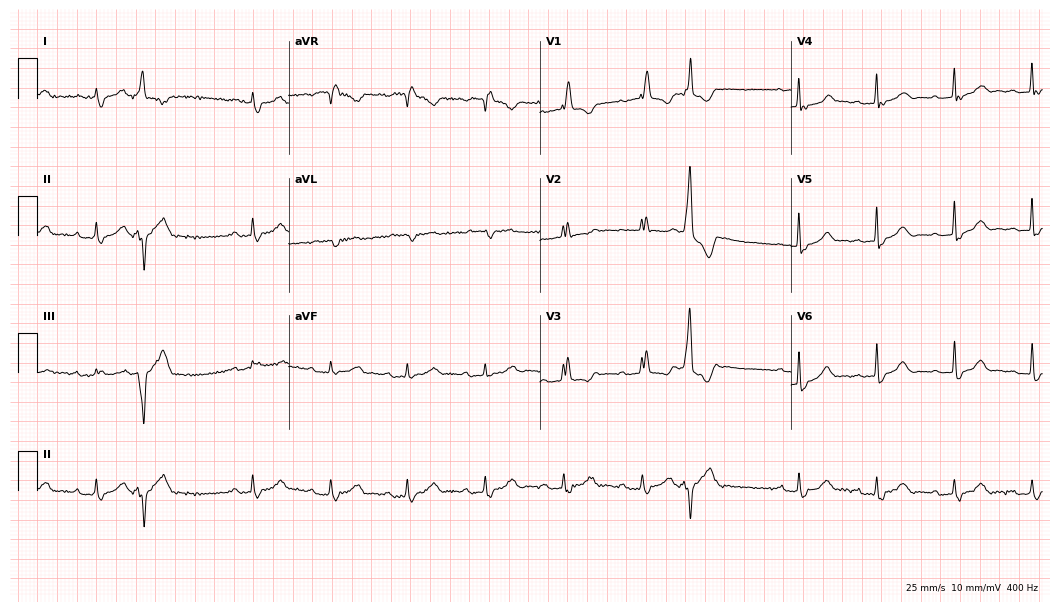
12-lead ECG (10.2-second recording at 400 Hz) from an 81-year-old female. Findings include first-degree AV block, right bundle branch block (RBBB).